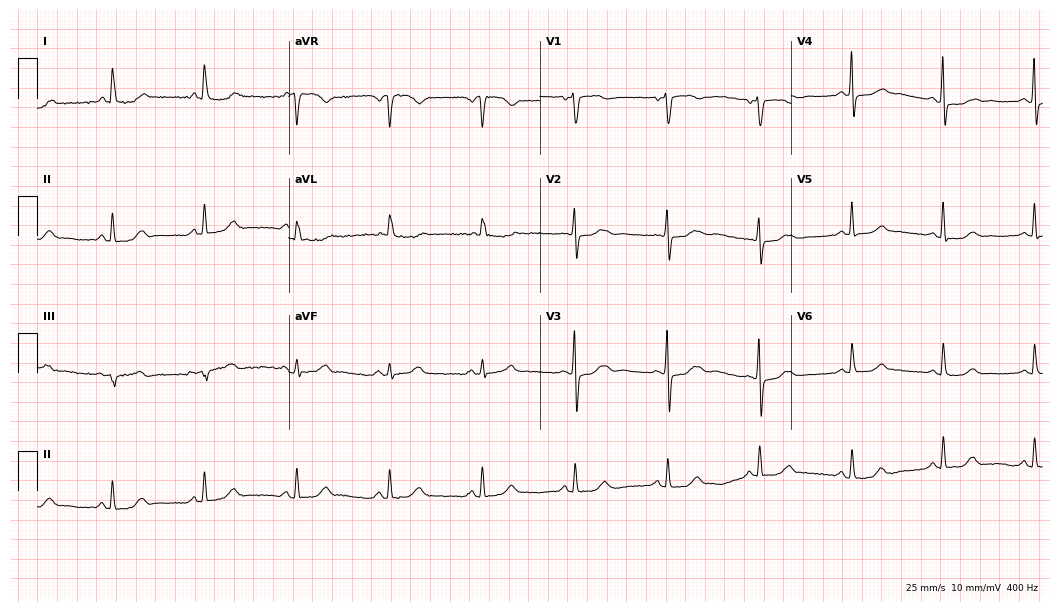
Resting 12-lead electrocardiogram. Patient: a female, 70 years old. None of these six findings is recorded: first-degree AV block, right bundle branch block (RBBB), left bundle branch block (LBBB), sinus bradycardia, atrial fibrillation (AF), sinus tachycardia.